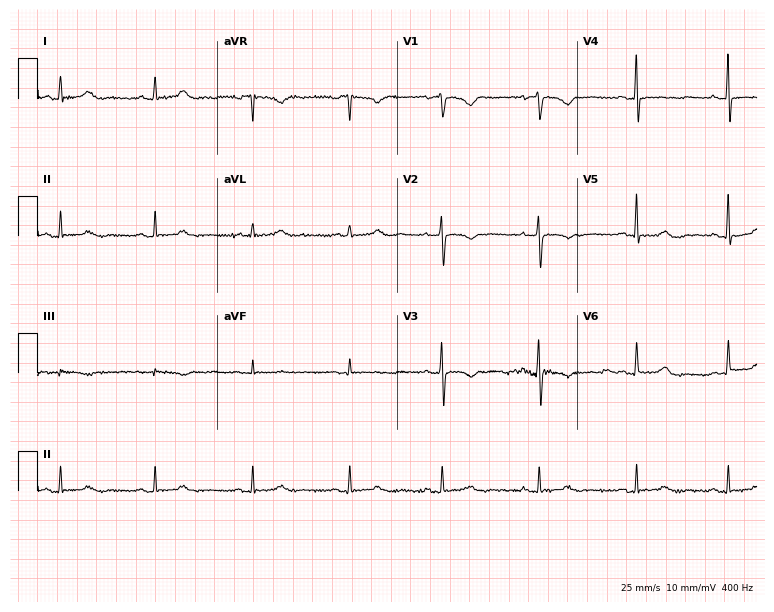
Standard 12-lead ECG recorded from a female patient, 54 years old. None of these six findings is recorded: first-degree AV block, right bundle branch block, left bundle branch block, sinus bradycardia, atrial fibrillation, sinus tachycardia.